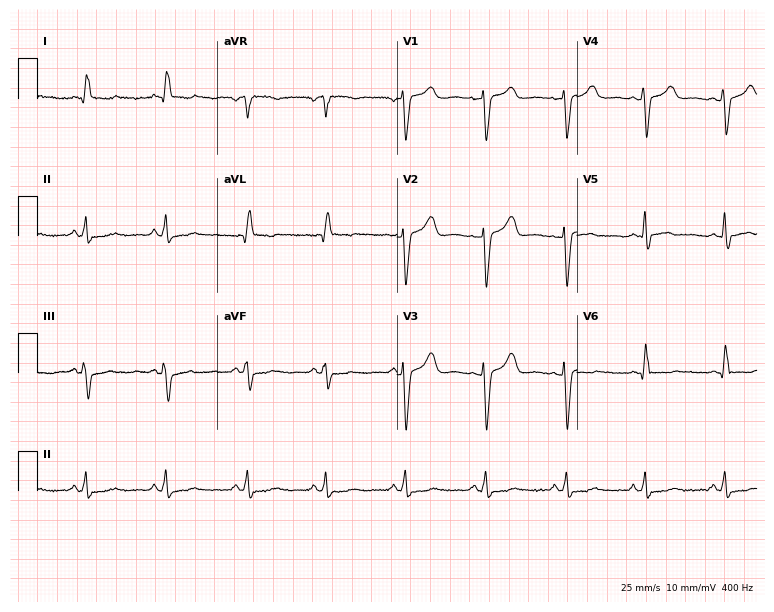
Electrocardiogram (7.3-second recording at 400 Hz), a 45-year-old woman. Of the six screened findings (first-degree AV block, right bundle branch block, left bundle branch block, sinus bradycardia, atrial fibrillation, sinus tachycardia), none is recorded.